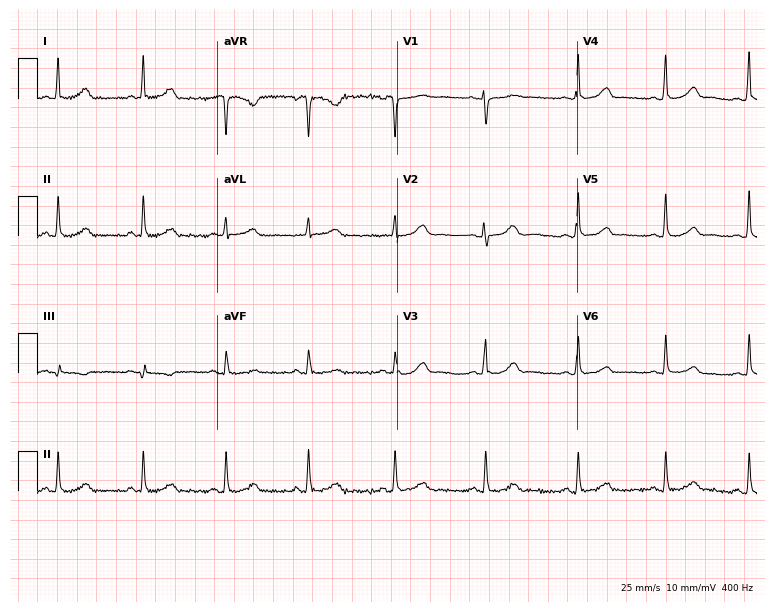
Resting 12-lead electrocardiogram (7.3-second recording at 400 Hz). Patient: a woman, 36 years old. None of these six findings is recorded: first-degree AV block, right bundle branch block (RBBB), left bundle branch block (LBBB), sinus bradycardia, atrial fibrillation (AF), sinus tachycardia. Findings outside these six are not listed.